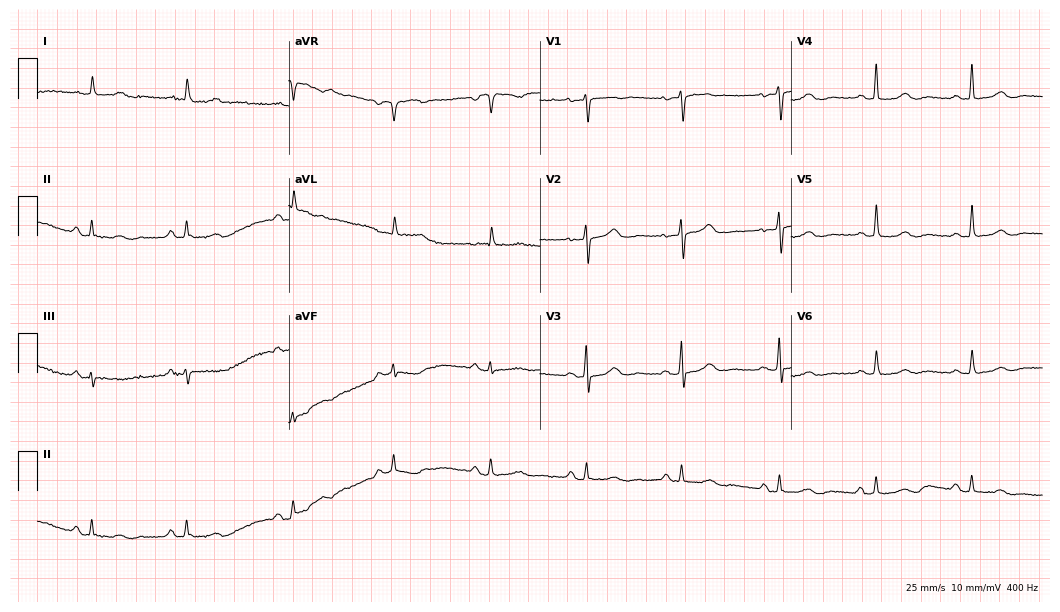
12-lead ECG (10.2-second recording at 400 Hz) from a female, 89 years old. Screened for six findings — first-degree AV block, right bundle branch block, left bundle branch block, sinus bradycardia, atrial fibrillation, sinus tachycardia — none is recorded.